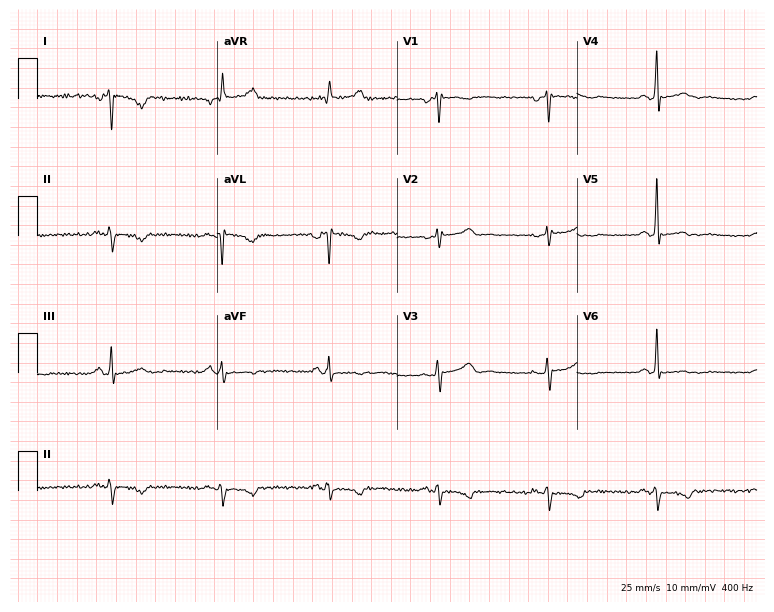
Resting 12-lead electrocardiogram. Patient: a female, 58 years old. None of these six findings is recorded: first-degree AV block, right bundle branch block, left bundle branch block, sinus bradycardia, atrial fibrillation, sinus tachycardia. Other findings, if any, are not listed.